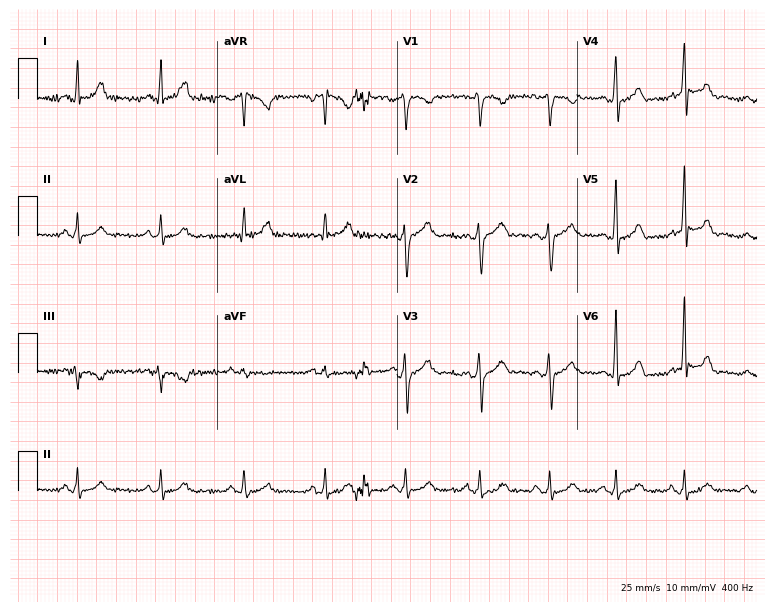
Standard 12-lead ECG recorded from a man, 41 years old (7.3-second recording at 400 Hz). None of these six findings is recorded: first-degree AV block, right bundle branch block, left bundle branch block, sinus bradycardia, atrial fibrillation, sinus tachycardia. Only these six findings were labelled.